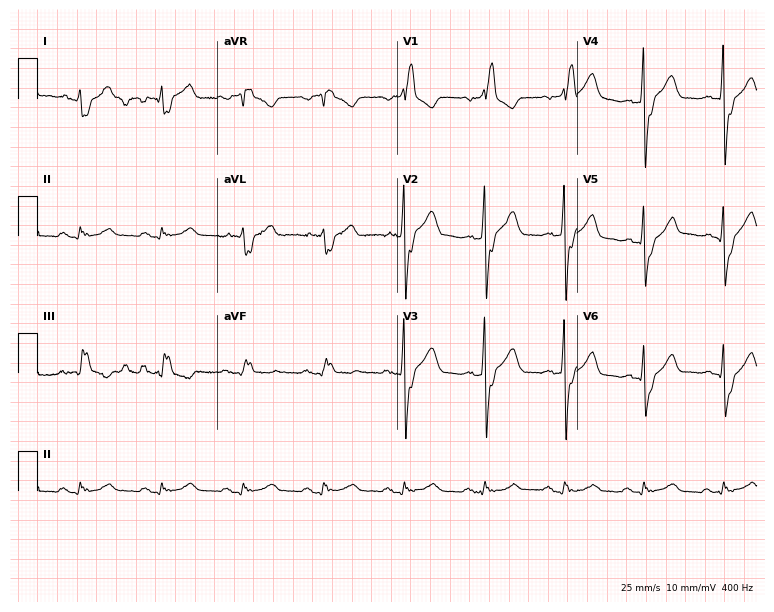
Electrocardiogram, a 60-year-old man. Interpretation includes right bundle branch block.